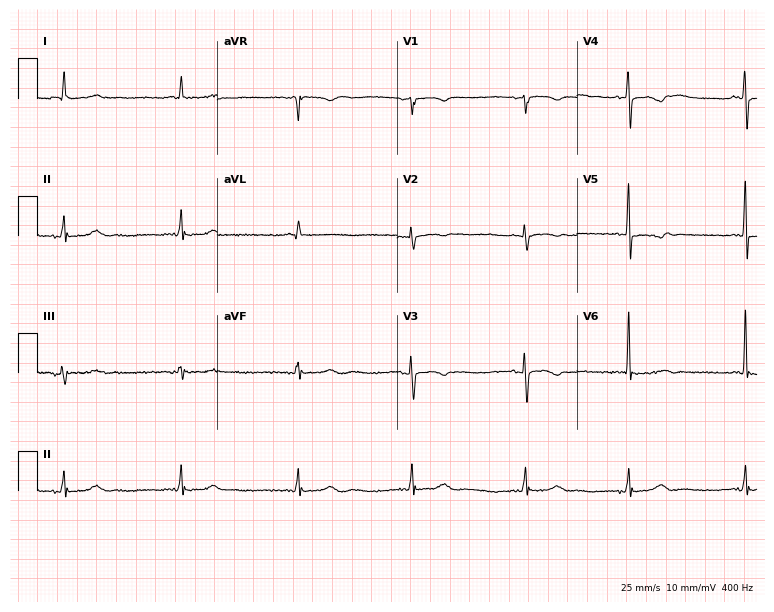
Standard 12-lead ECG recorded from a 73-year-old female patient (7.3-second recording at 400 Hz). None of these six findings is recorded: first-degree AV block, right bundle branch block (RBBB), left bundle branch block (LBBB), sinus bradycardia, atrial fibrillation (AF), sinus tachycardia. Other findings, if any, are not listed.